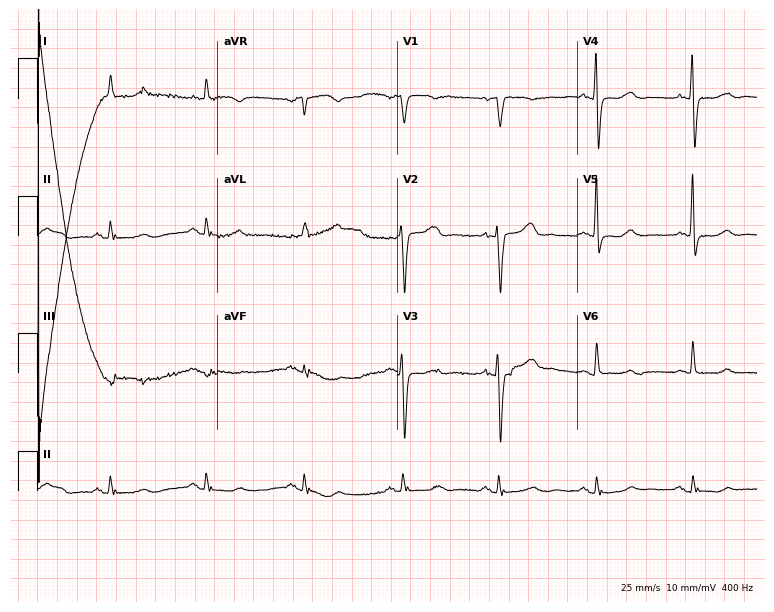
ECG (7.3-second recording at 400 Hz) — an 85-year-old woman. Screened for six findings — first-degree AV block, right bundle branch block, left bundle branch block, sinus bradycardia, atrial fibrillation, sinus tachycardia — none is recorded. Other findings, if any, are not listed.